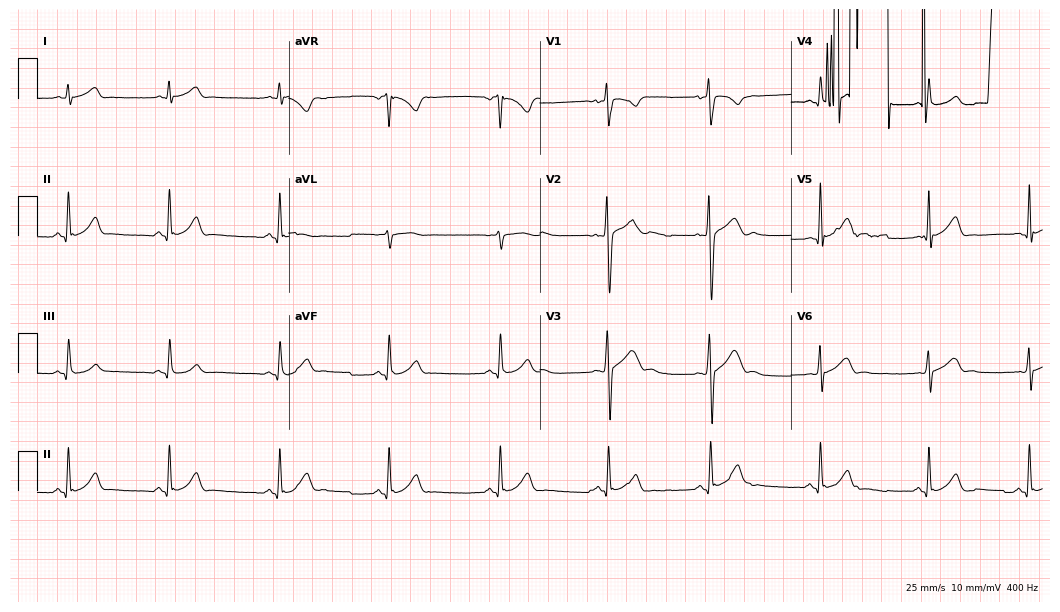
Standard 12-lead ECG recorded from an 18-year-old male (10.2-second recording at 400 Hz). None of these six findings is recorded: first-degree AV block, right bundle branch block, left bundle branch block, sinus bradycardia, atrial fibrillation, sinus tachycardia. Other findings, if any, are not listed.